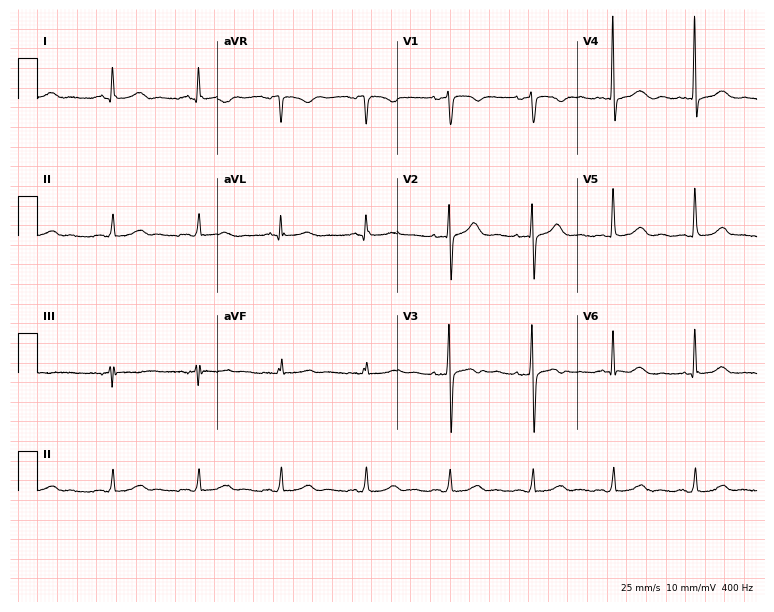
Electrocardiogram, a female patient, 50 years old. Of the six screened findings (first-degree AV block, right bundle branch block, left bundle branch block, sinus bradycardia, atrial fibrillation, sinus tachycardia), none is recorded.